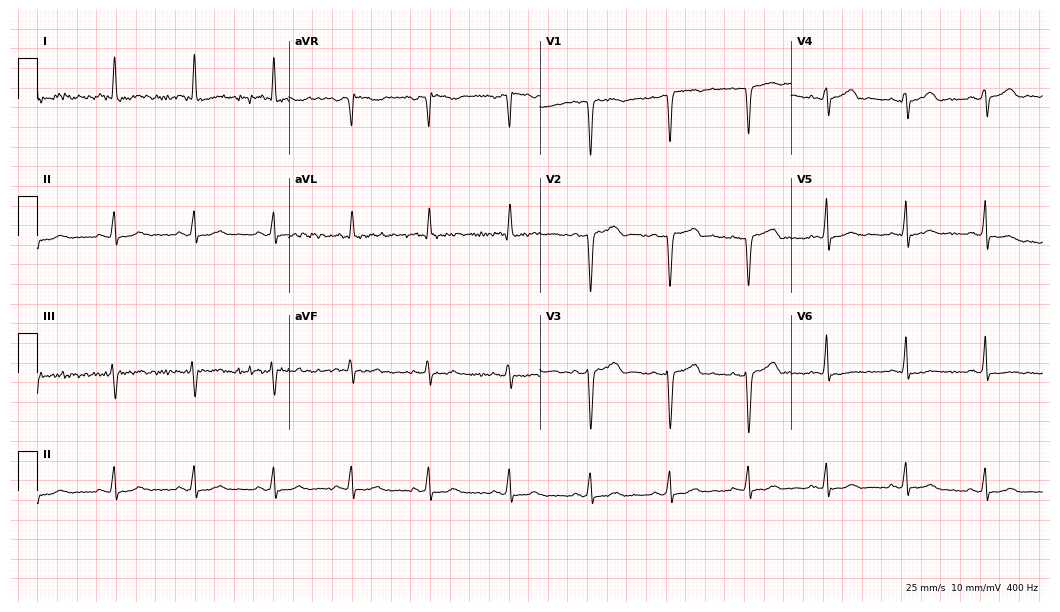
12-lead ECG from a 41-year-old female patient. Screened for six findings — first-degree AV block, right bundle branch block, left bundle branch block, sinus bradycardia, atrial fibrillation, sinus tachycardia — none is recorded.